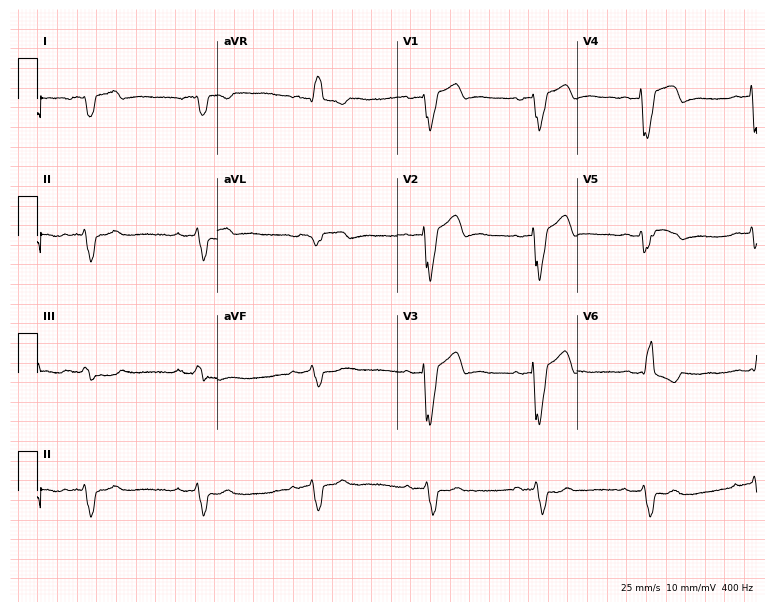
ECG — an 86-year-old man. Screened for six findings — first-degree AV block, right bundle branch block, left bundle branch block, sinus bradycardia, atrial fibrillation, sinus tachycardia — none is recorded.